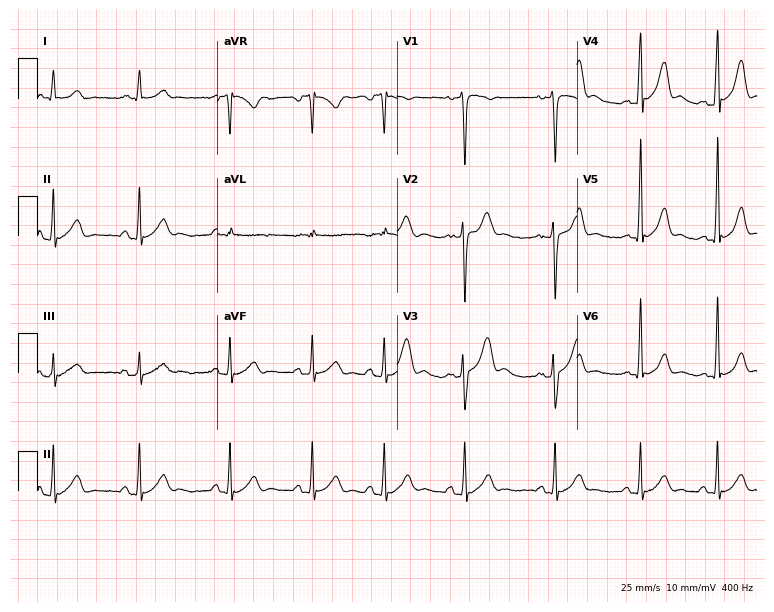
Electrocardiogram (7.3-second recording at 400 Hz), a 20-year-old man. Overall reading on record: normal ECG.